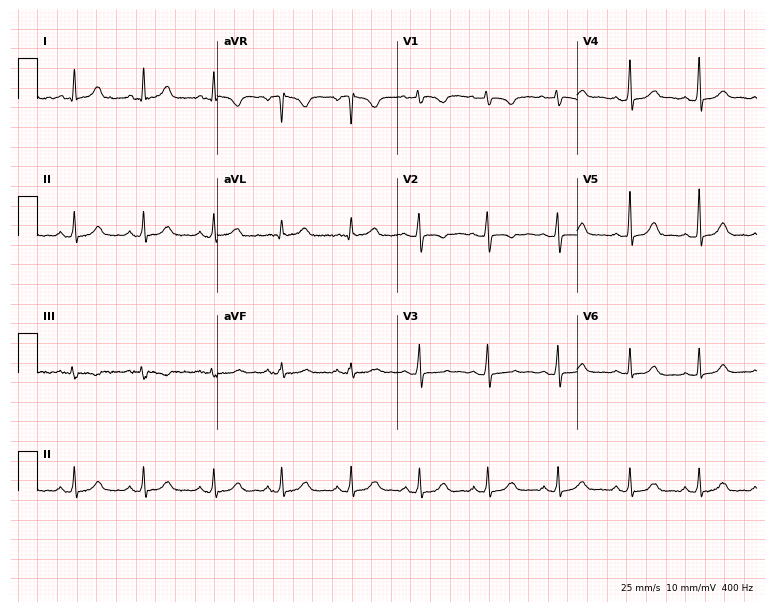
12-lead ECG from a female, 39 years old. No first-degree AV block, right bundle branch block, left bundle branch block, sinus bradycardia, atrial fibrillation or sinus tachycardia recorded for this tracing. Findings outside these six are not listed.